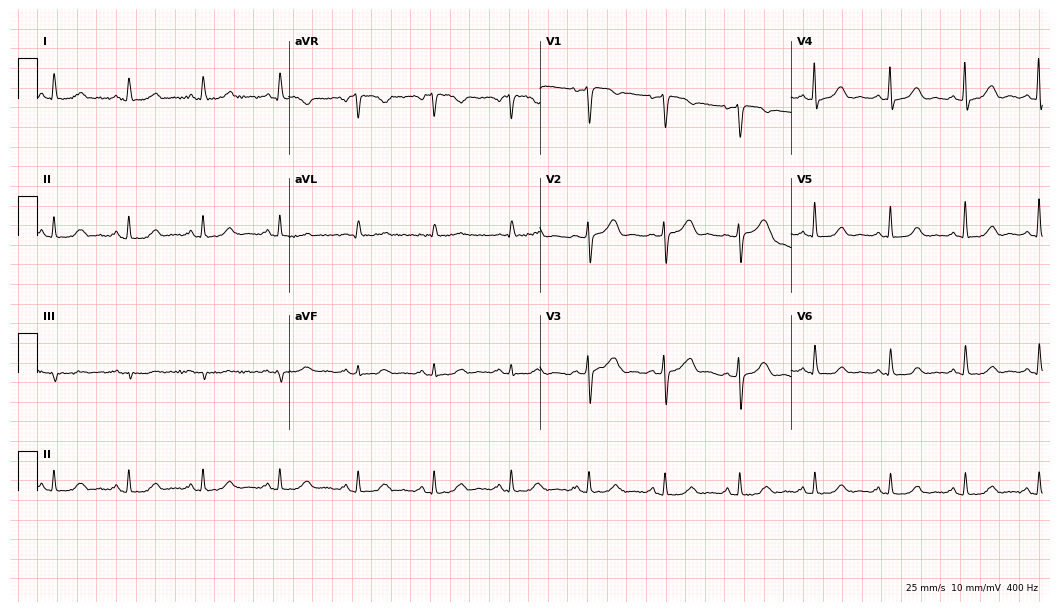
12-lead ECG (10.2-second recording at 400 Hz) from a 65-year-old woman. Labelled as a normal ECG.